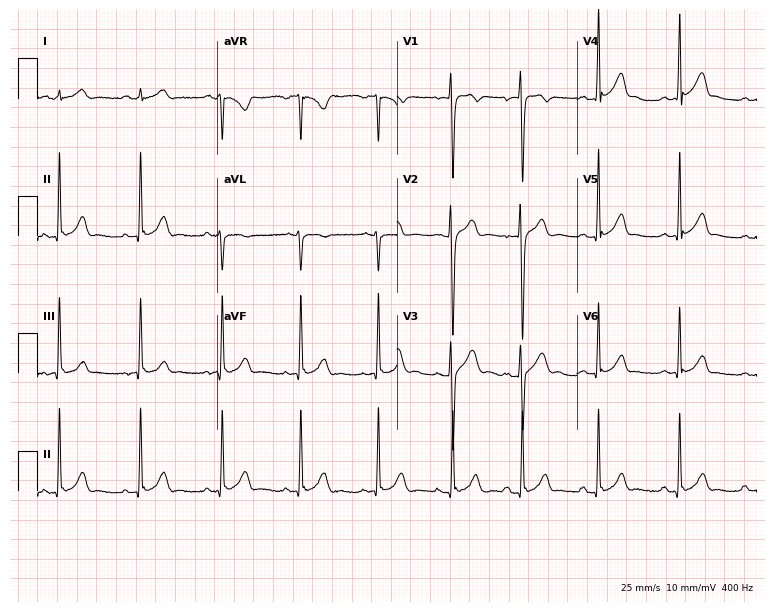
12-lead ECG from a 28-year-old man. Recorded interpretation: within normal limits.